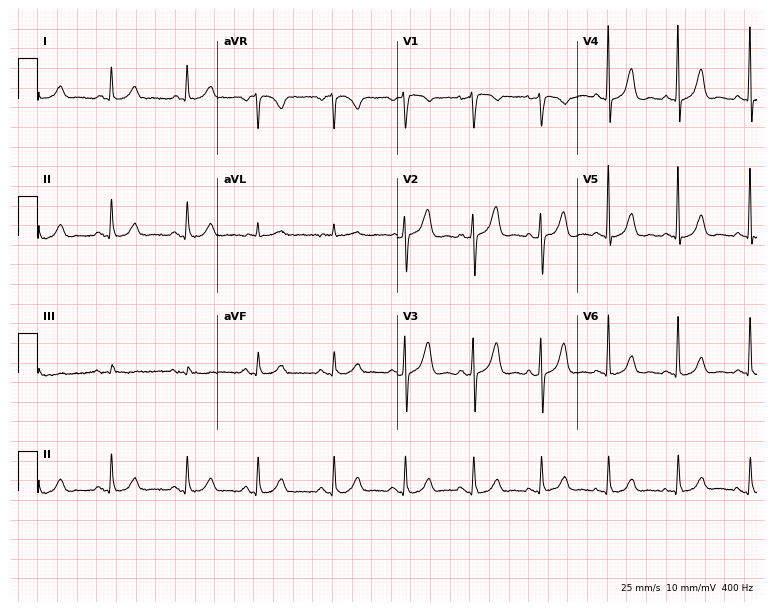
Resting 12-lead electrocardiogram. Patient: a 77-year-old woman. Read as a normal ECG.